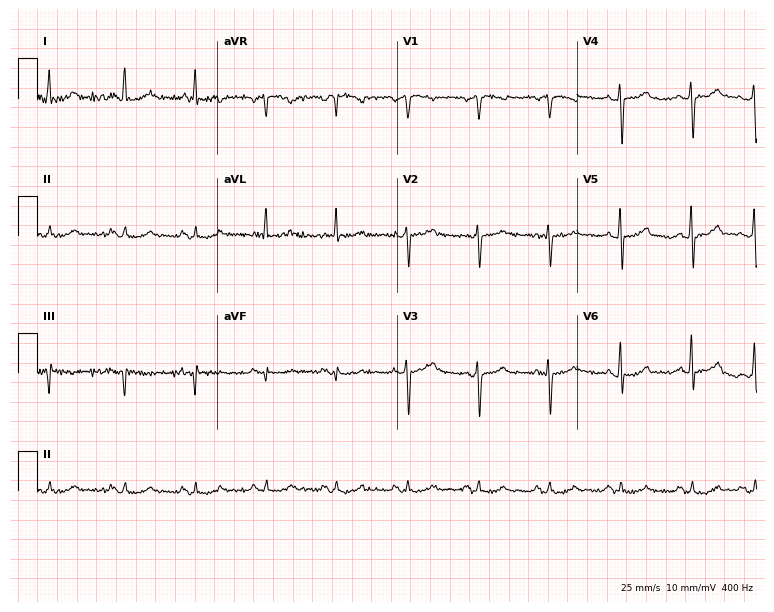
Standard 12-lead ECG recorded from a 65-year-old male patient (7.3-second recording at 400 Hz). Read as a normal ECG.